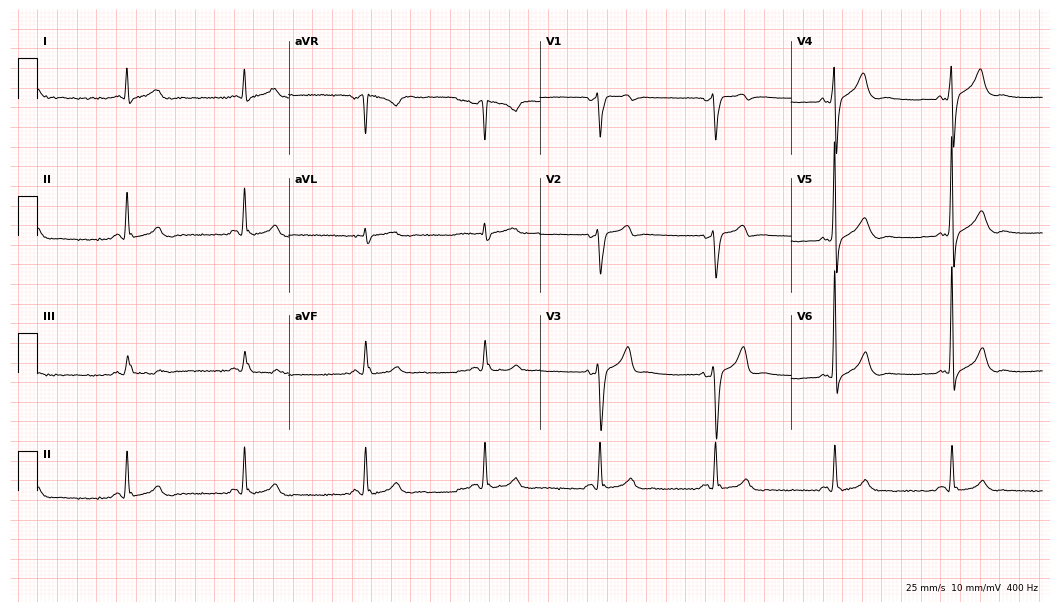
Resting 12-lead electrocardiogram. Patient: a male, 46 years old. The tracing shows sinus bradycardia (a sinus rate of 50 beats per minute or less).